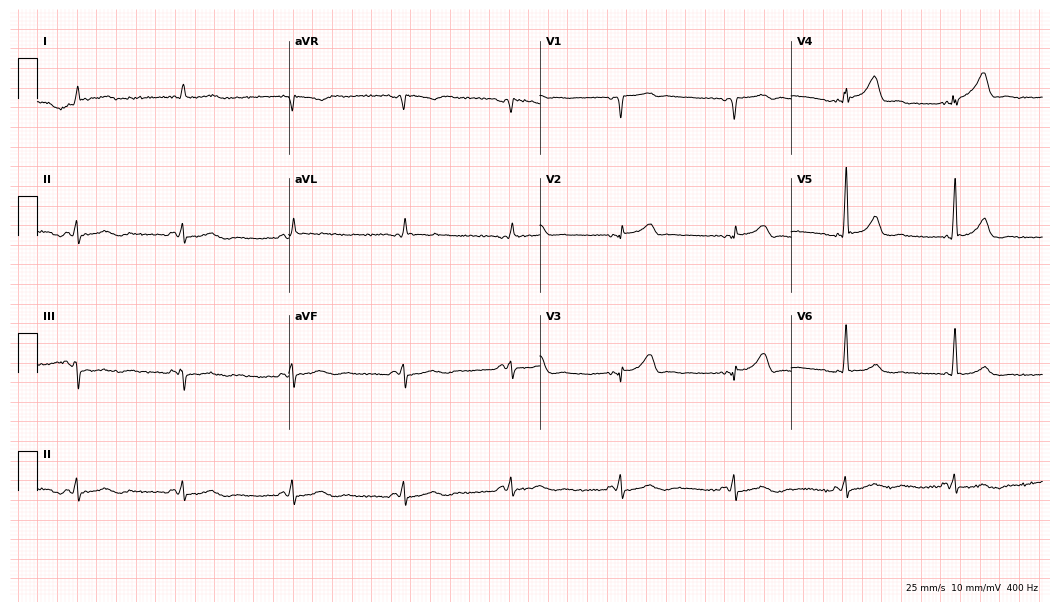
12-lead ECG from a man, 80 years old. No first-degree AV block, right bundle branch block (RBBB), left bundle branch block (LBBB), sinus bradycardia, atrial fibrillation (AF) or sinus tachycardia recorded for this tracing. Only these six findings were labelled.